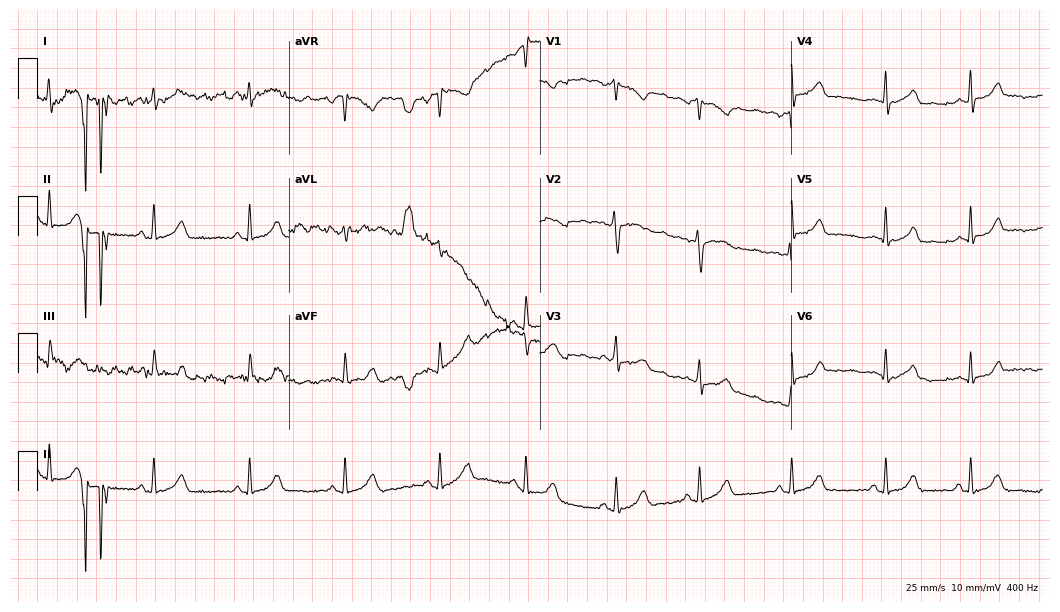
Resting 12-lead electrocardiogram (10.2-second recording at 400 Hz). Patient: a female, 21 years old. None of these six findings is recorded: first-degree AV block, right bundle branch block, left bundle branch block, sinus bradycardia, atrial fibrillation, sinus tachycardia. Findings outside these six are not listed.